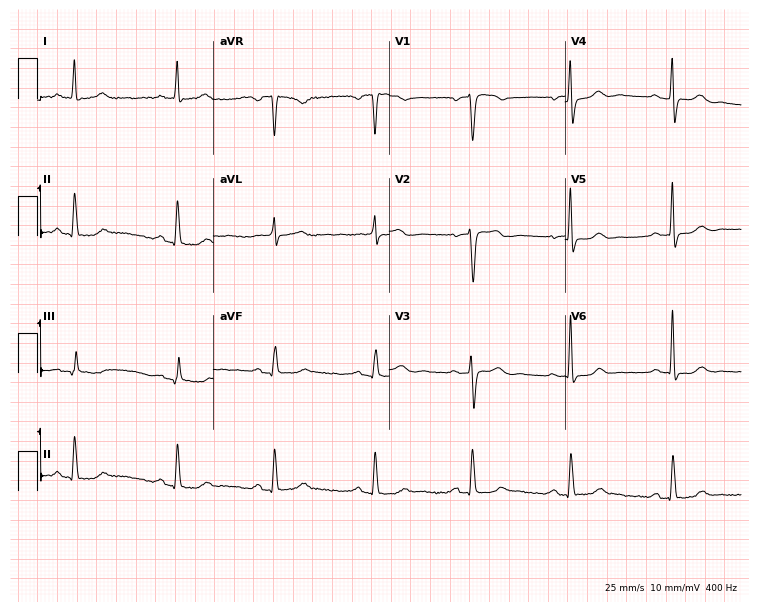
Standard 12-lead ECG recorded from a female patient, 60 years old. None of these six findings is recorded: first-degree AV block, right bundle branch block, left bundle branch block, sinus bradycardia, atrial fibrillation, sinus tachycardia. Other findings, if any, are not listed.